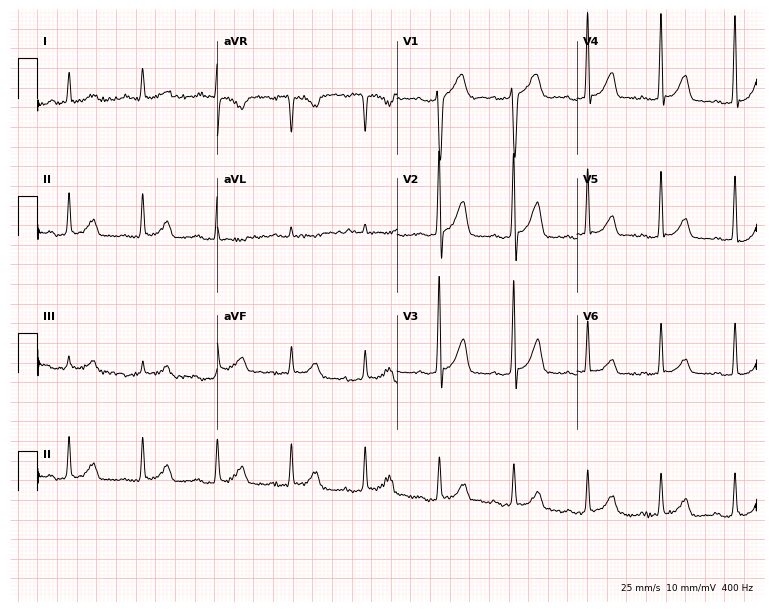
Electrocardiogram (7.3-second recording at 400 Hz), a 40-year-old male patient. Of the six screened findings (first-degree AV block, right bundle branch block, left bundle branch block, sinus bradycardia, atrial fibrillation, sinus tachycardia), none is recorded. Findings outside these six are not listed.